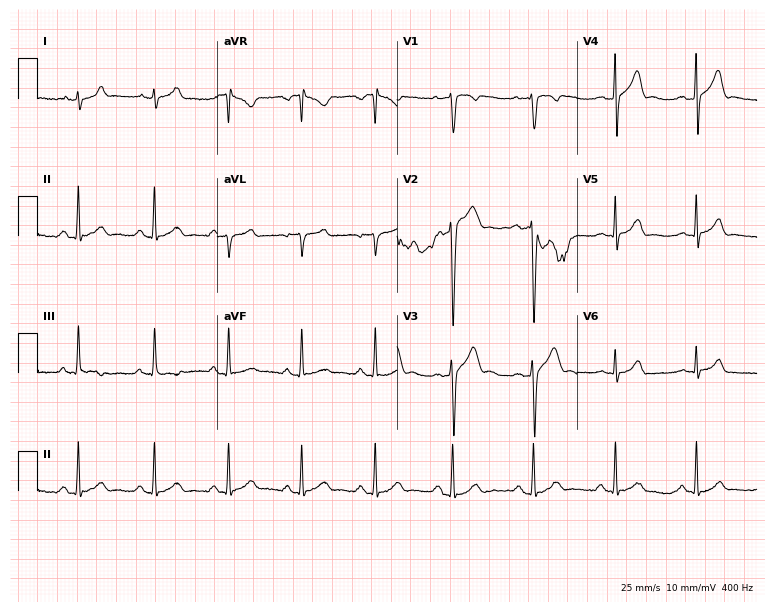
Resting 12-lead electrocardiogram (7.3-second recording at 400 Hz). Patient: a 34-year-old male. Read as a normal ECG.